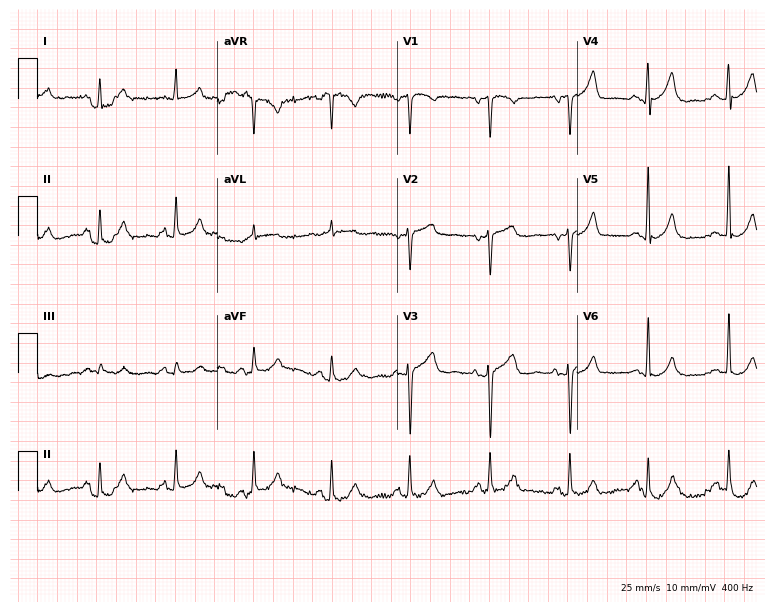
Standard 12-lead ECG recorded from a female patient, 59 years old. Read as a normal ECG.